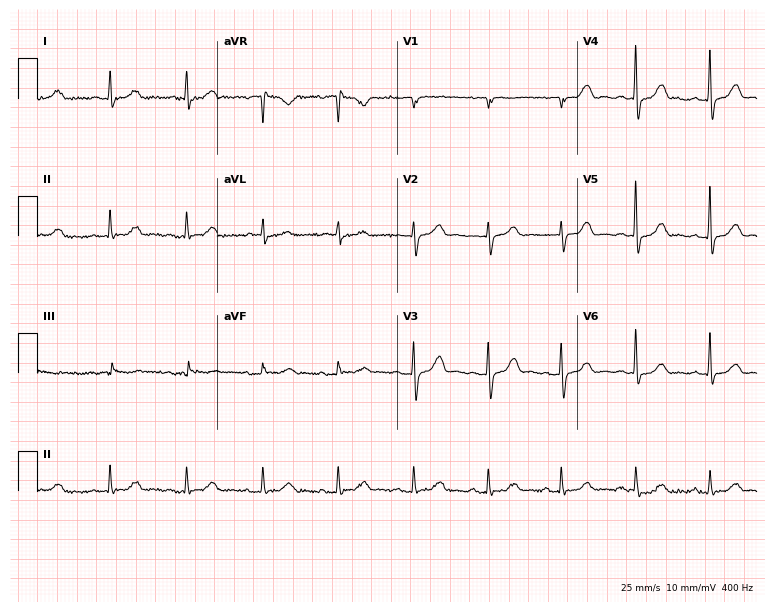
Resting 12-lead electrocardiogram (7.3-second recording at 400 Hz). Patient: a female, 82 years old. Read as a normal ECG.